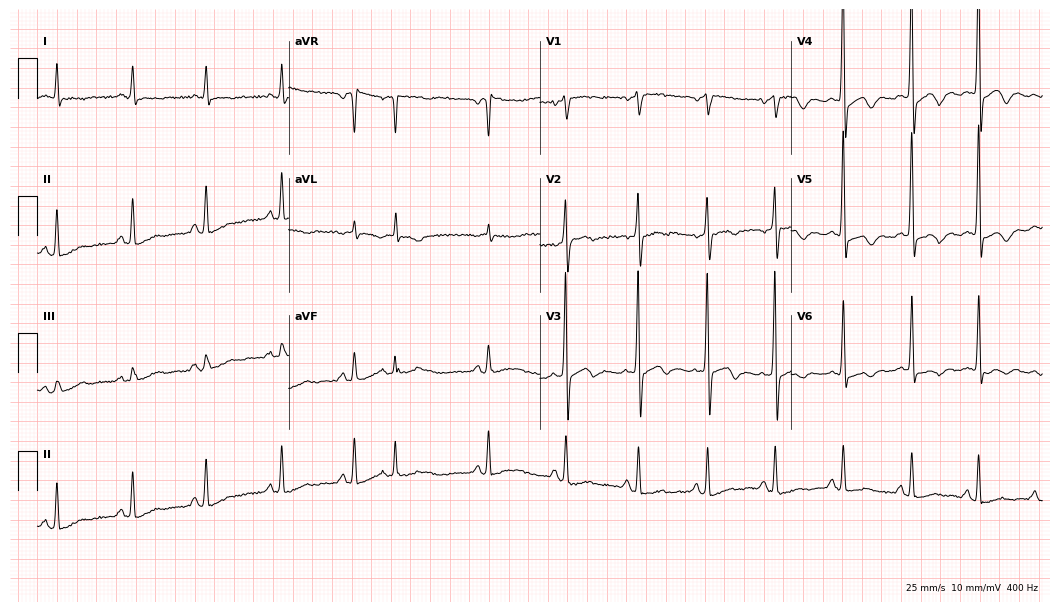
Resting 12-lead electrocardiogram. Patient: a female, 82 years old. None of these six findings is recorded: first-degree AV block, right bundle branch block (RBBB), left bundle branch block (LBBB), sinus bradycardia, atrial fibrillation (AF), sinus tachycardia.